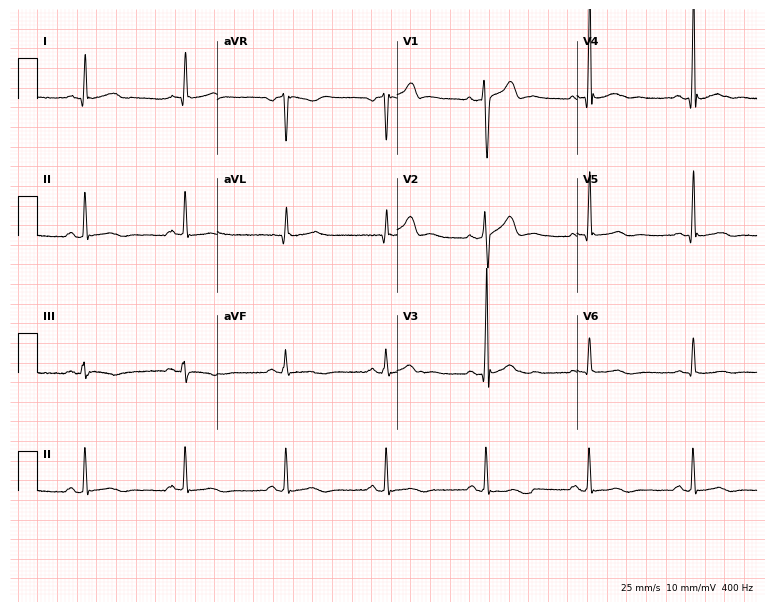
ECG (7.3-second recording at 400 Hz) — a 44-year-old male patient. Labelled as a normal ECG.